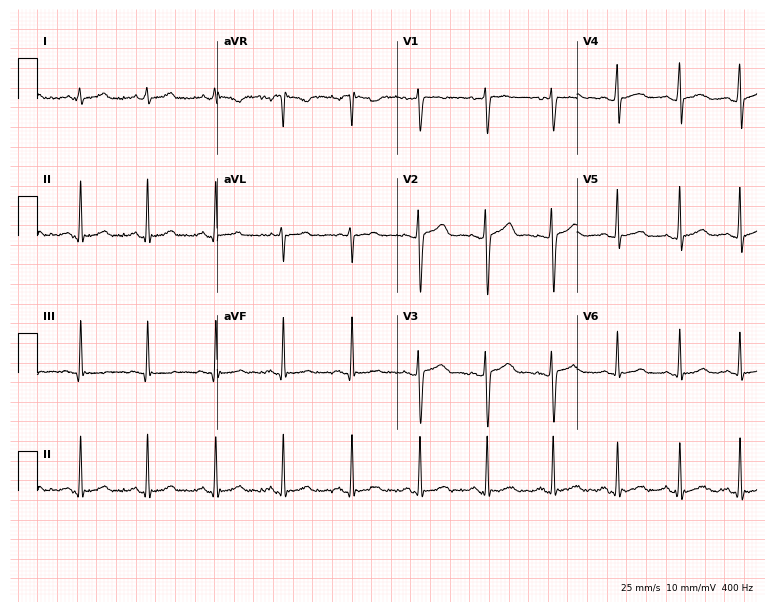
Resting 12-lead electrocardiogram. Patient: a 22-year-old female. None of these six findings is recorded: first-degree AV block, right bundle branch block (RBBB), left bundle branch block (LBBB), sinus bradycardia, atrial fibrillation (AF), sinus tachycardia. Findings outside these six are not listed.